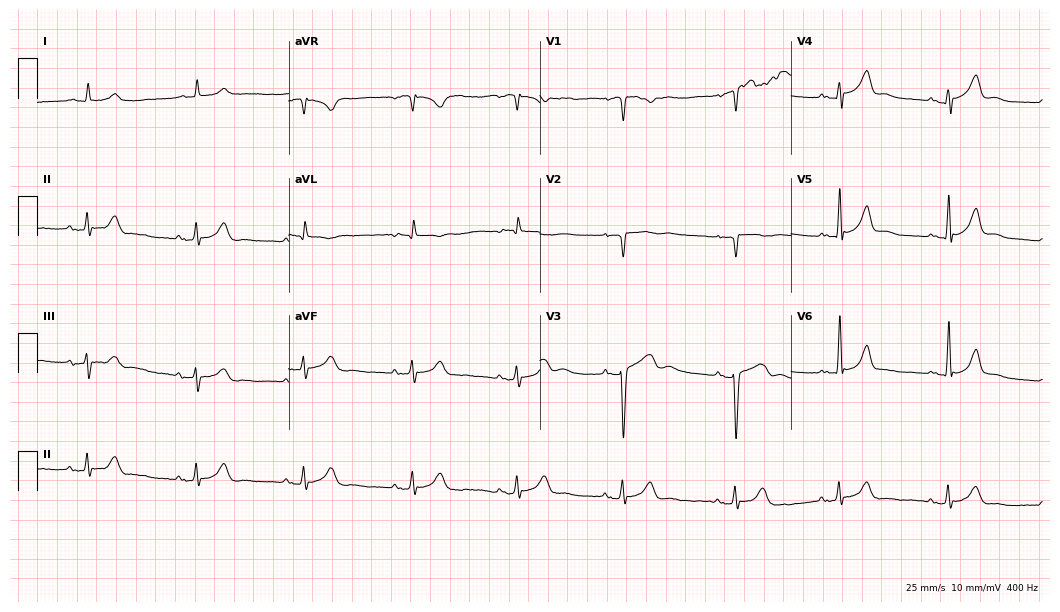
Resting 12-lead electrocardiogram. Patient: a 74-year-old man. None of these six findings is recorded: first-degree AV block, right bundle branch block, left bundle branch block, sinus bradycardia, atrial fibrillation, sinus tachycardia.